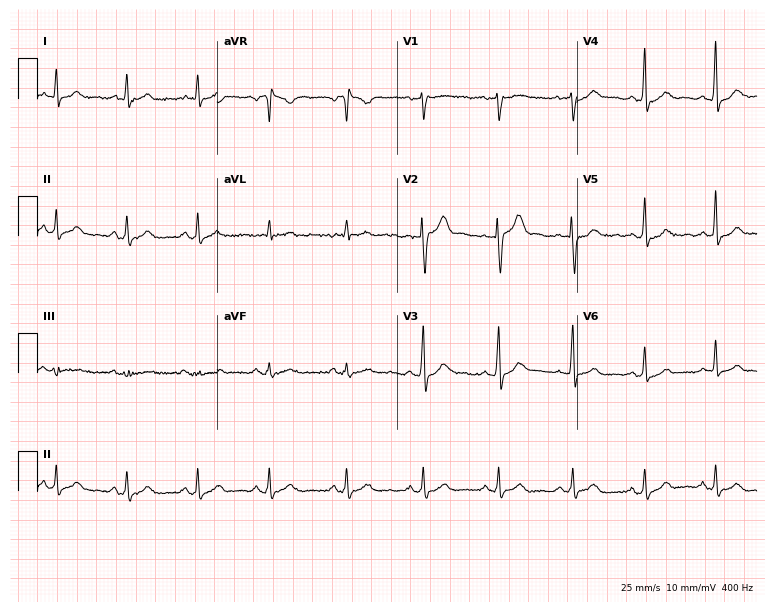
12-lead ECG from a man, 38 years old. Screened for six findings — first-degree AV block, right bundle branch block, left bundle branch block, sinus bradycardia, atrial fibrillation, sinus tachycardia — none is recorded. Findings outside these six are not listed.